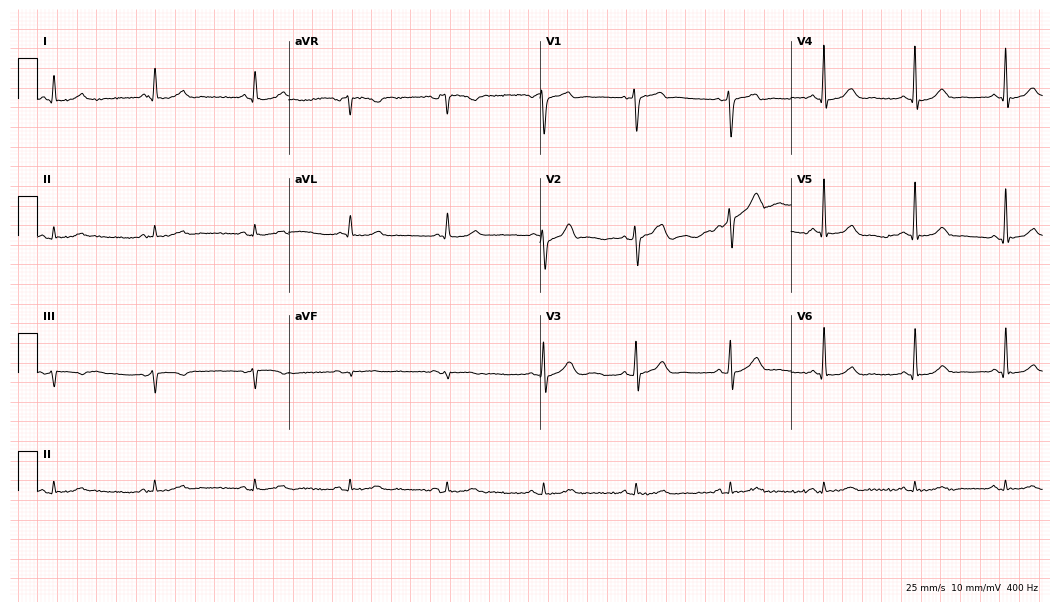
Standard 12-lead ECG recorded from a male patient, 68 years old (10.2-second recording at 400 Hz). Read as a normal ECG.